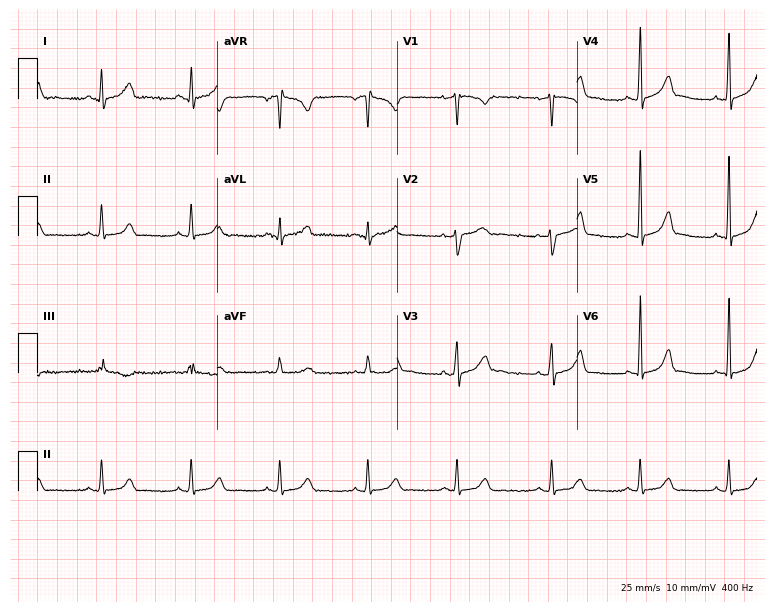
Resting 12-lead electrocardiogram. Patient: a 34-year-old female. None of these six findings is recorded: first-degree AV block, right bundle branch block (RBBB), left bundle branch block (LBBB), sinus bradycardia, atrial fibrillation (AF), sinus tachycardia. Findings outside these six are not listed.